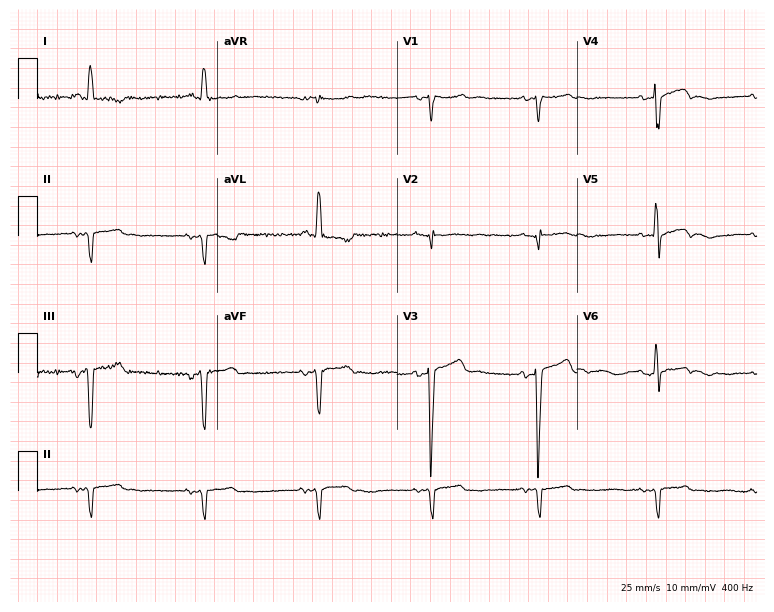
ECG — a female patient, 75 years old. Screened for six findings — first-degree AV block, right bundle branch block, left bundle branch block, sinus bradycardia, atrial fibrillation, sinus tachycardia — none is recorded. Other findings, if any, are not listed.